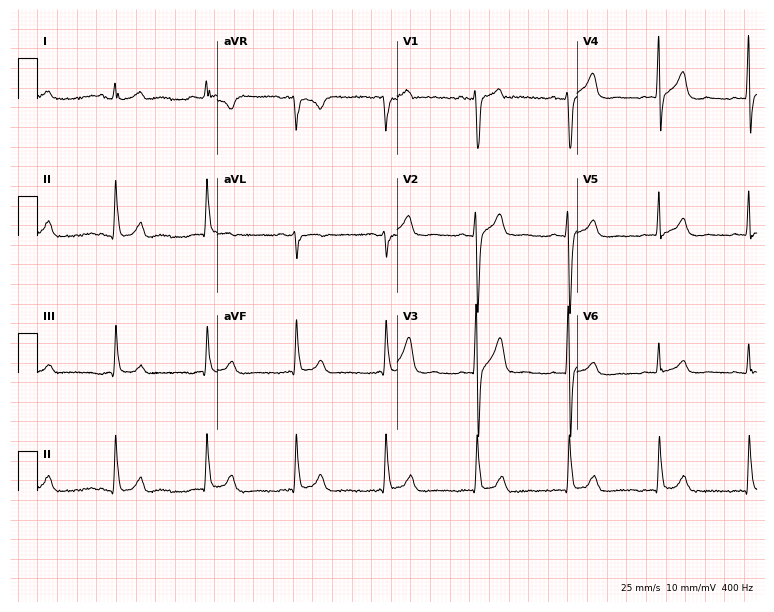
Resting 12-lead electrocardiogram. Patient: a 51-year-old male. None of these six findings is recorded: first-degree AV block, right bundle branch block, left bundle branch block, sinus bradycardia, atrial fibrillation, sinus tachycardia. Findings outside these six are not listed.